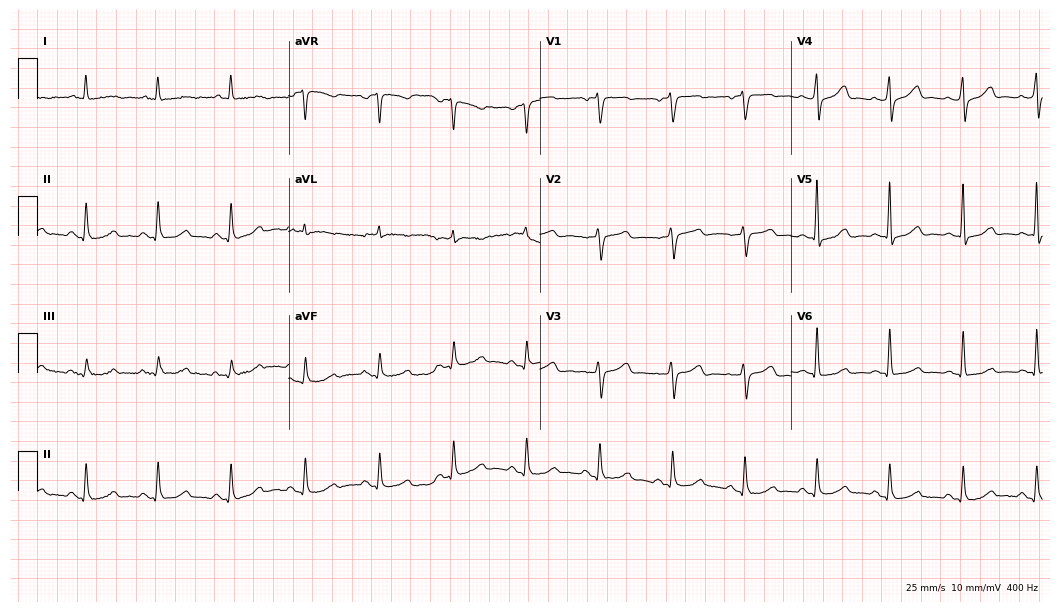
12-lead ECG from a female, 70 years old. No first-degree AV block, right bundle branch block (RBBB), left bundle branch block (LBBB), sinus bradycardia, atrial fibrillation (AF) or sinus tachycardia recorded for this tracing. Findings outside these six are not listed.